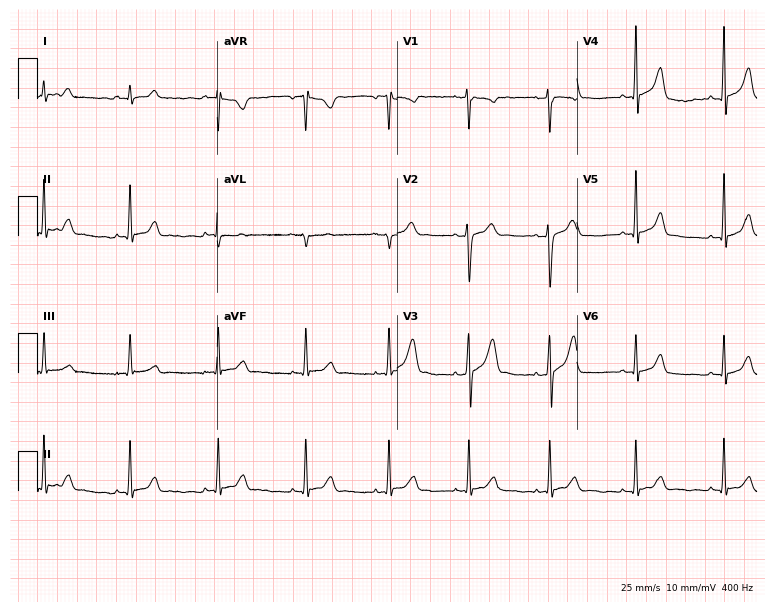
Standard 12-lead ECG recorded from a male patient, 20 years old. Read as a normal ECG.